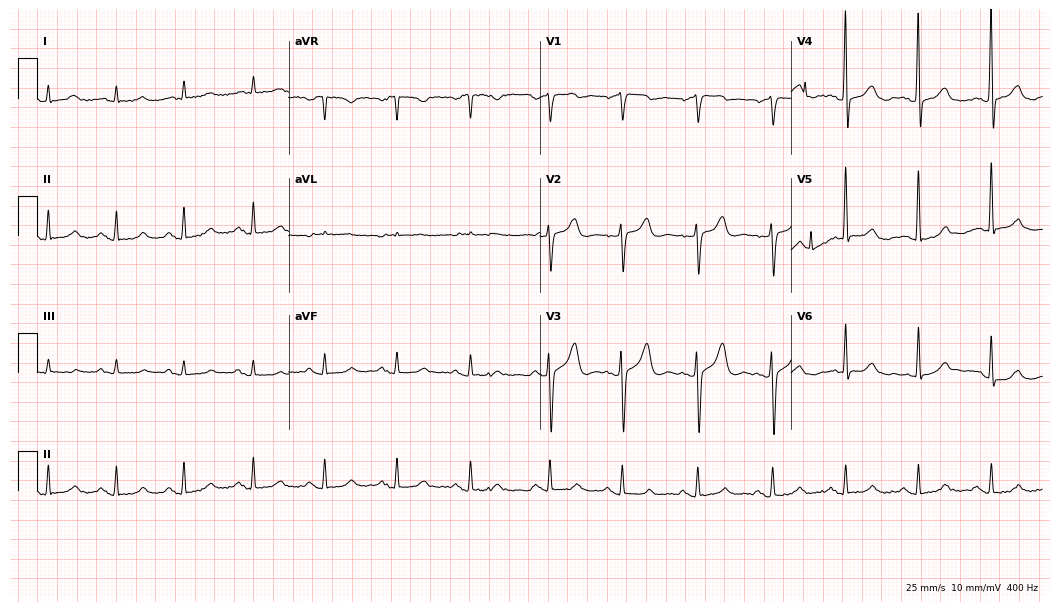
Electrocardiogram, a male patient, 64 years old. Of the six screened findings (first-degree AV block, right bundle branch block, left bundle branch block, sinus bradycardia, atrial fibrillation, sinus tachycardia), none is recorded.